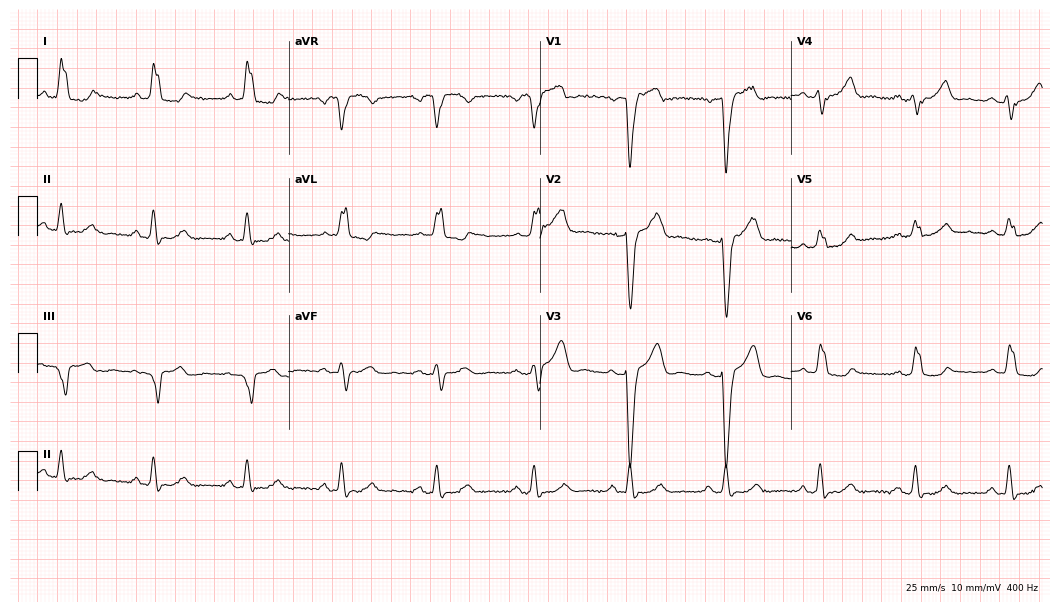
12-lead ECG from a female, 59 years old (10.2-second recording at 400 Hz). Shows left bundle branch block.